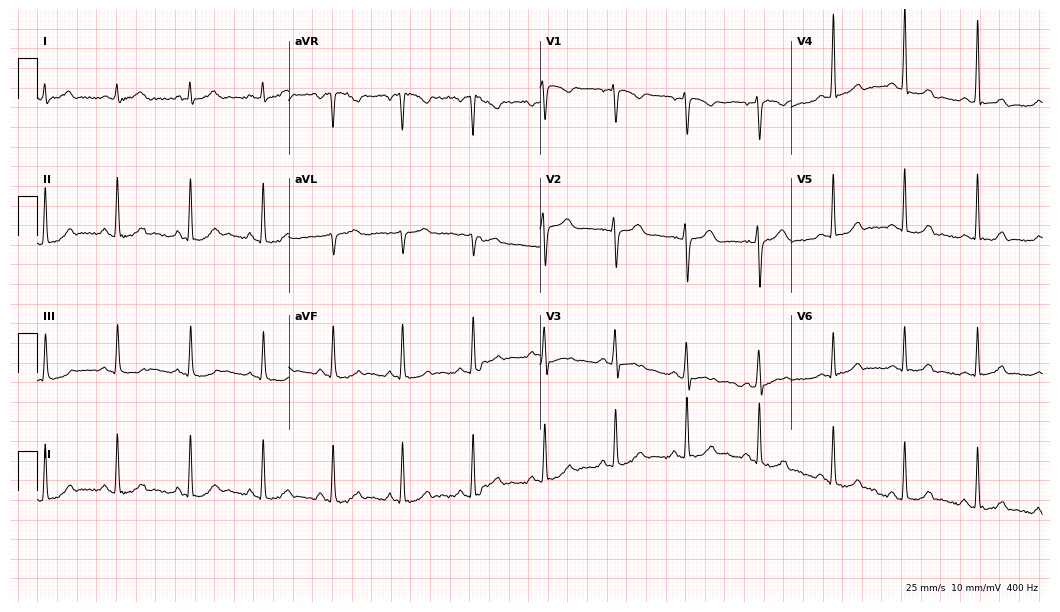
ECG — a 22-year-old female. Labelled as a normal ECG.